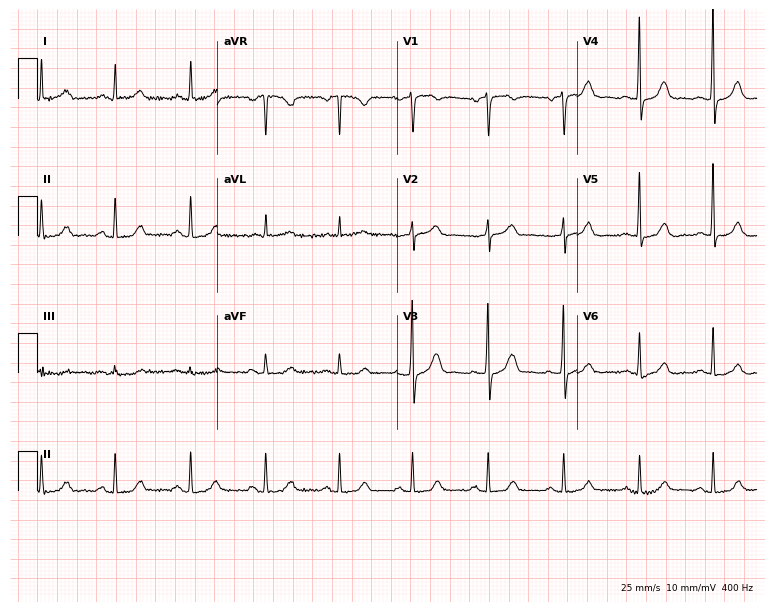
Electrocardiogram (7.3-second recording at 400 Hz), a female patient, 62 years old. Overall reading on record: normal ECG.